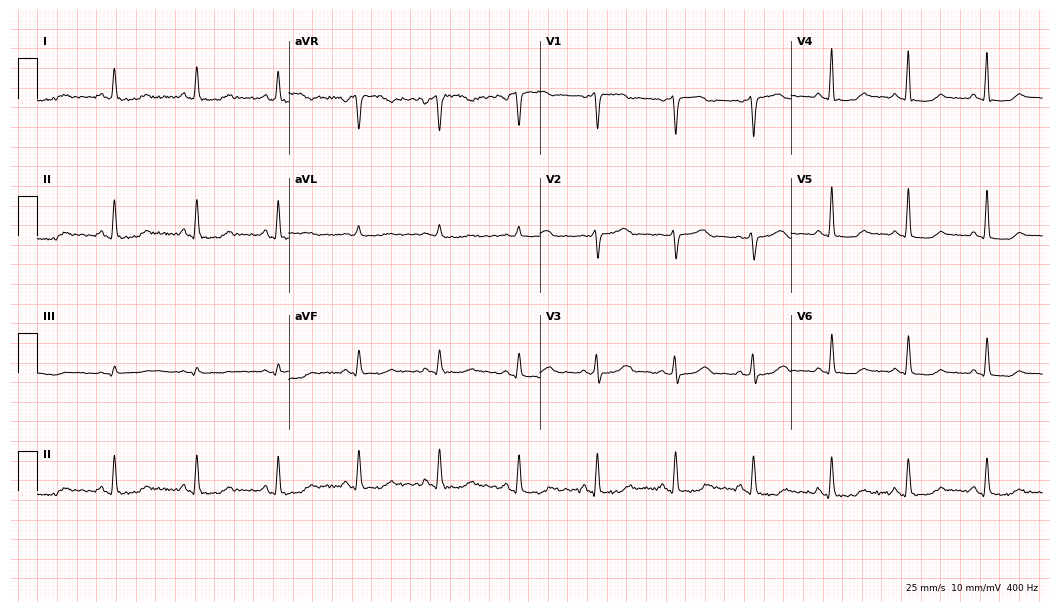
12-lead ECG from a 68-year-old female patient (10.2-second recording at 400 Hz). Recorded interpretation: within normal limits.